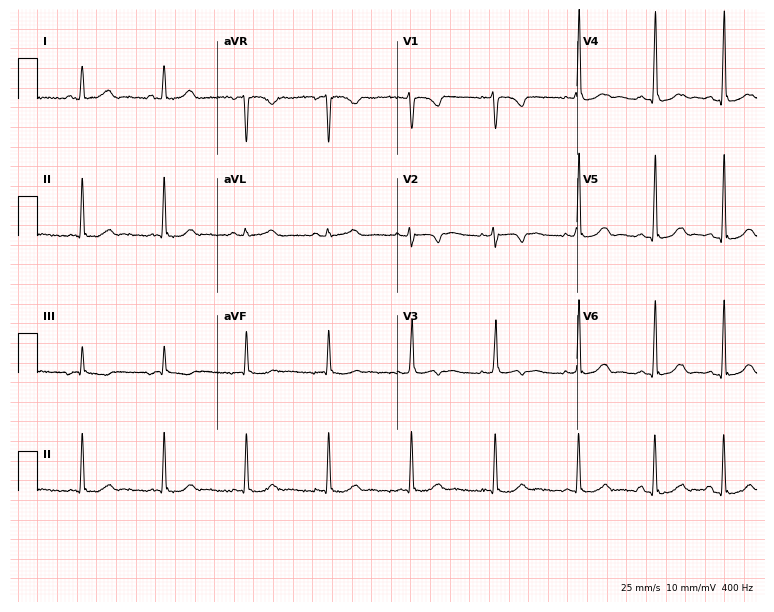
Resting 12-lead electrocardiogram (7.3-second recording at 400 Hz). Patient: a 24-year-old woman. None of these six findings is recorded: first-degree AV block, right bundle branch block (RBBB), left bundle branch block (LBBB), sinus bradycardia, atrial fibrillation (AF), sinus tachycardia. Other findings, if any, are not listed.